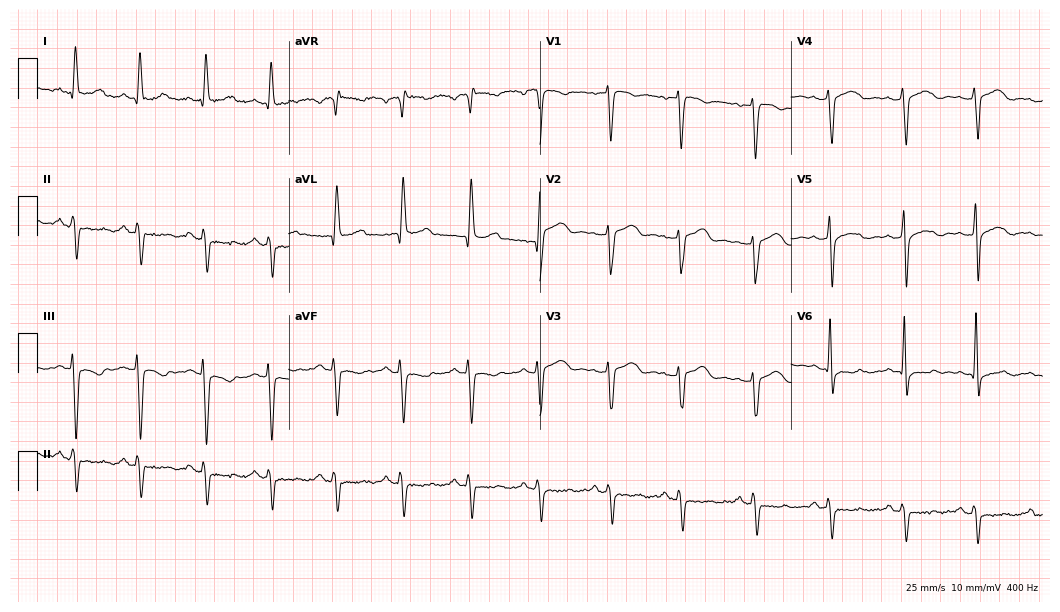
12-lead ECG from a man, 50 years old. No first-degree AV block, right bundle branch block, left bundle branch block, sinus bradycardia, atrial fibrillation or sinus tachycardia recorded for this tracing. Only these six findings were labelled.